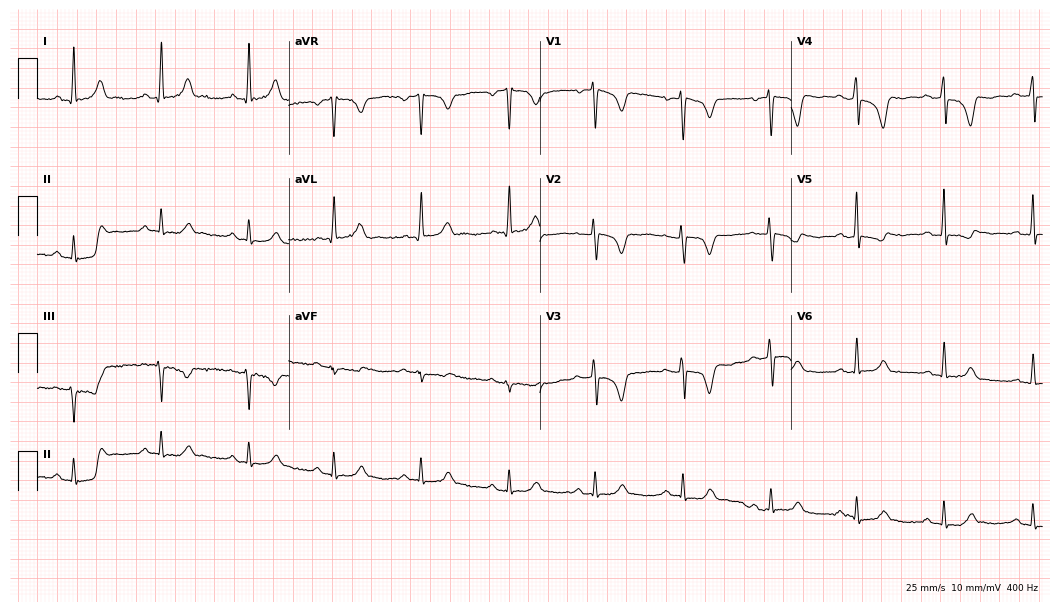
Electrocardiogram (10.2-second recording at 400 Hz), a 58-year-old female. Of the six screened findings (first-degree AV block, right bundle branch block, left bundle branch block, sinus bradycardia, atrial fibrillation, sinus tachycardia), none is recorded. Other findings, if any, are not listed.